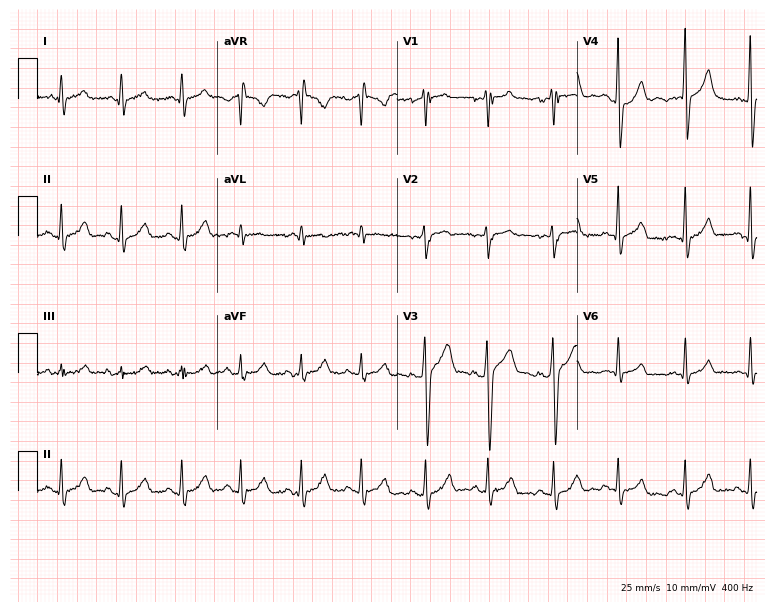
12-lead ECG from a man, 25 years old (7.3-second recording at 400 Hz). No first-degree AV block, right bundle branch block, left bundle branch block, sinus bradycardia, atrial fibrillation or sinus tachycardia recorded for this tracing. Findings outside these six are not listed.